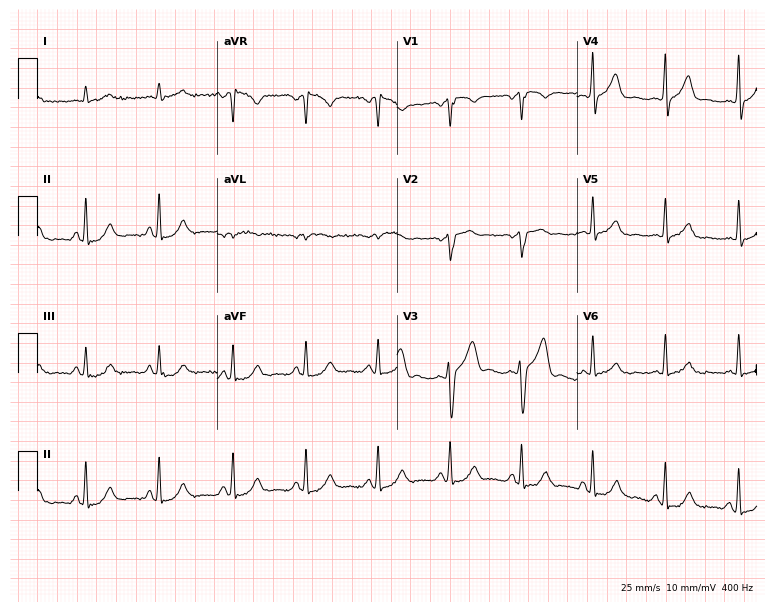
Electrocardiogram, a male patient, 59 years old. Of the six screened findings (first-degree AV block, right bundle branch block (RBBB), left bundle branch block (LBBB), sinus bradycardia, atrial fibrillation (AF), sinus tachycardia), none is recorded. Only these six findings were labelled.